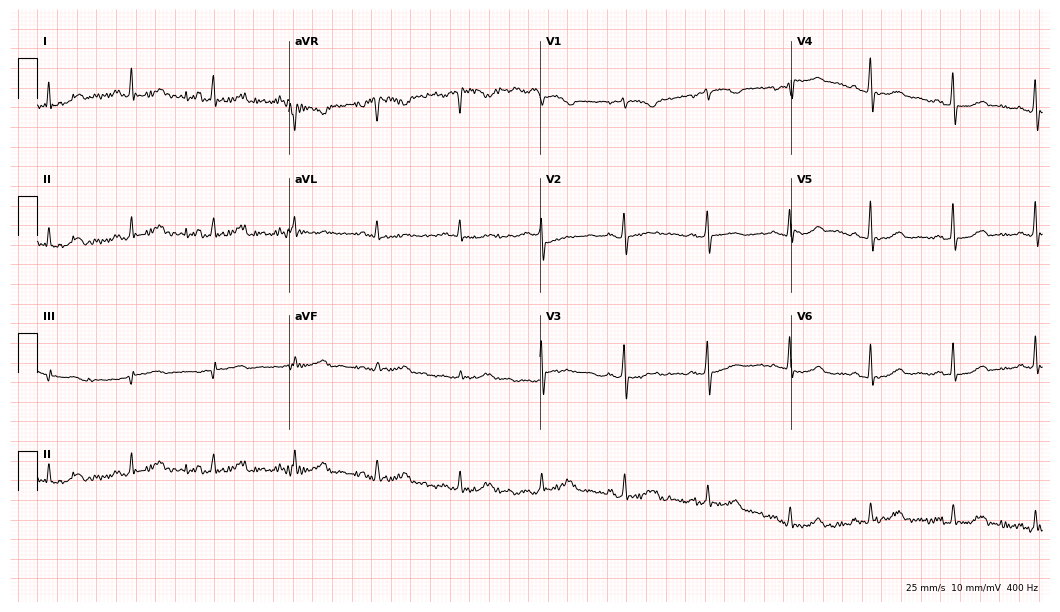
Resting 12-lead electrocardiogram. Patient: a female, 52 years old. Read as a normal ECG.